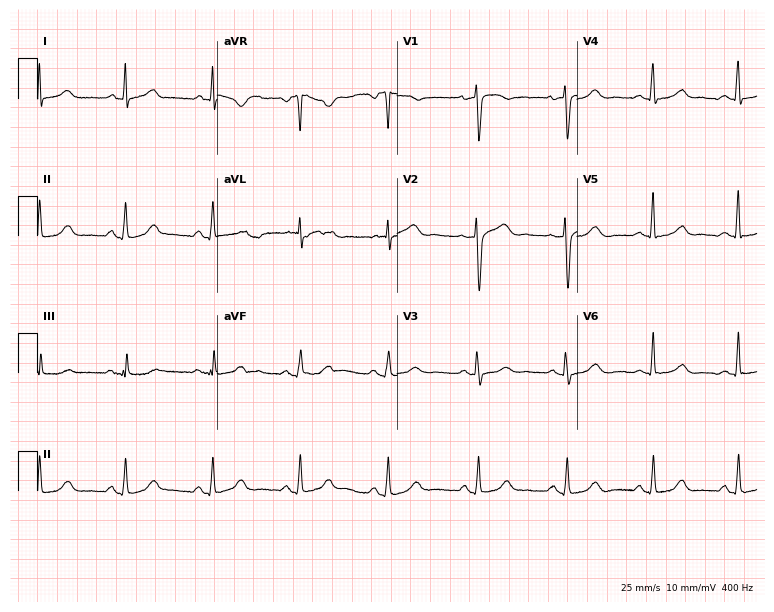
Standard 12-lead ECG recorded from a female patient, 65 years old (7.3-second recording at 400 Hz). Read as a normal ECG.